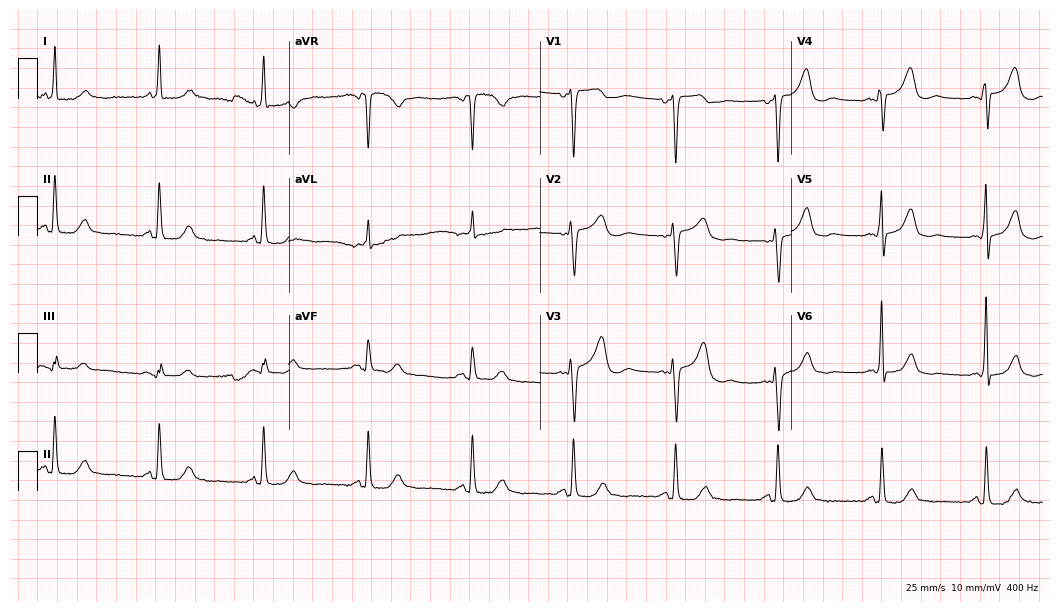
Resting 12-lead electrocardiogram (10.2-second recording at 400 Hz). Patient: a 79-year-old man. None of these six findings is recorded: first-degree AV block, right bundle branch block, left bundle branch block, sinus bradycardia, atrial fibrillation, sinus tachycardia.